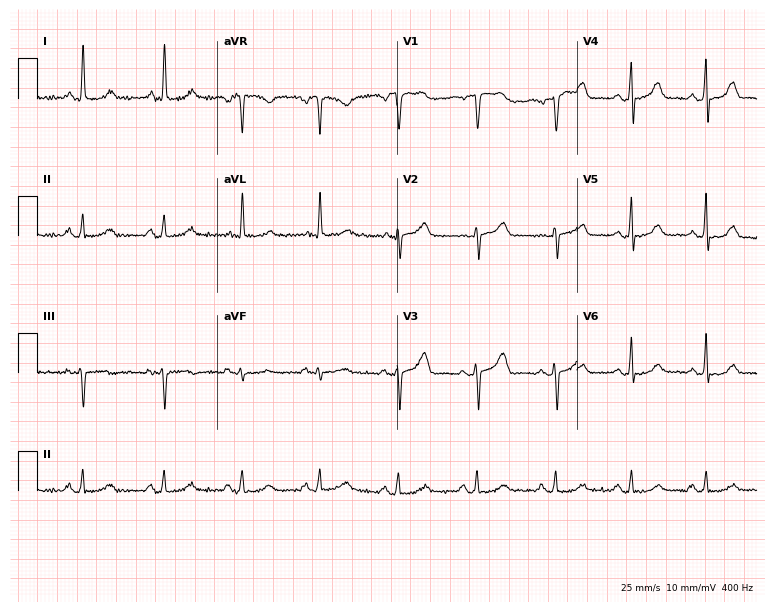
Electrocardiogram (7.3-second recording at 400 Hz), a female, 67 years old. Overall reading on record: normal ECG.